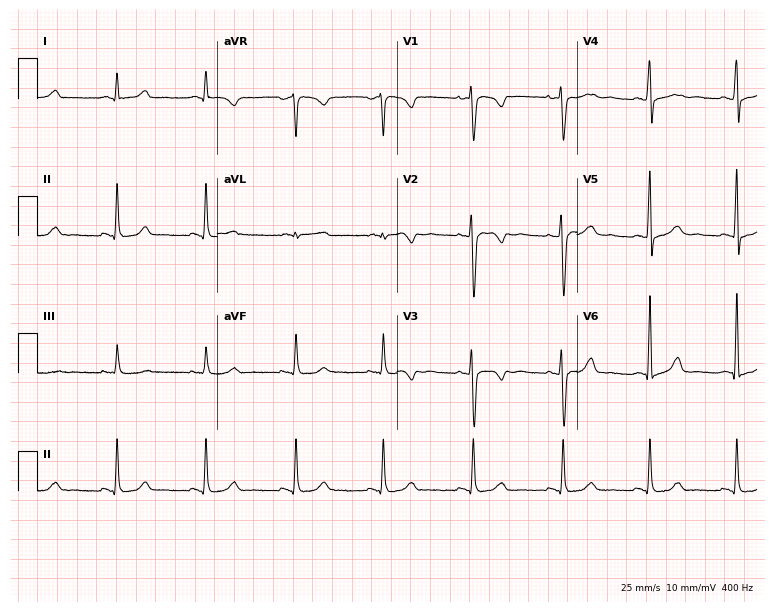
Resting 12-lead electrocardiogram (7.3-second recording at 400 Hz). Patient: a 35-year-old female. None of these six findings is recorded: first-degree AV block, right bundle branch block, left bundle branch block, sinus bradycardia, atrial fibrillation, sinus tachycardia. Only these six findings were labelled.